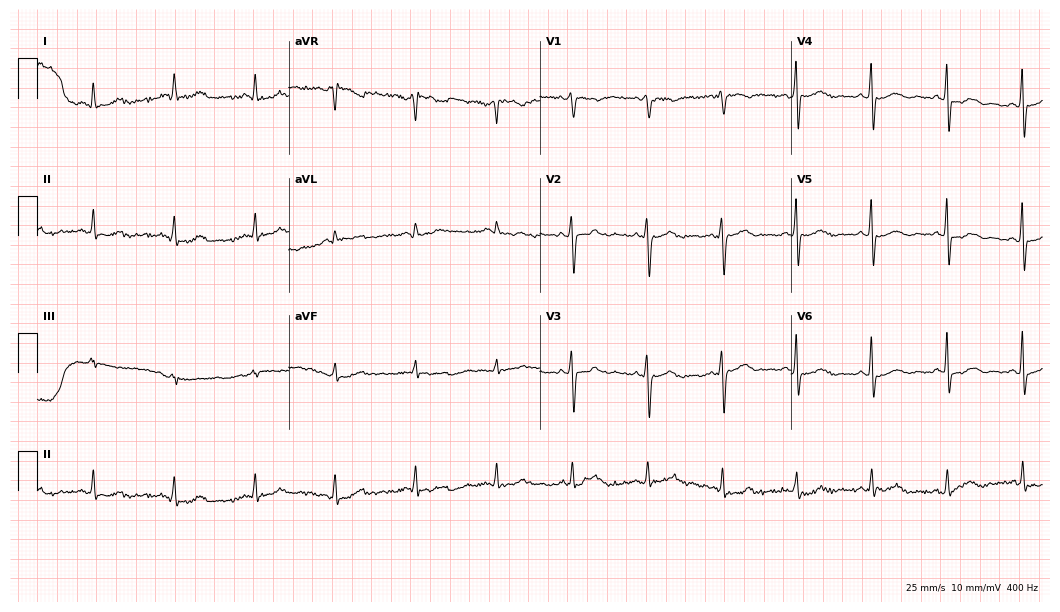
ECG (10.2-second recording at 400 Hz) — a 53-year-old male patient. Screened for six findings — first-degree AV block, right bundle branch block, left bundle branch block, sinus bradycardia, atrial fibrillation, sinus tachycardia — none is recorded.